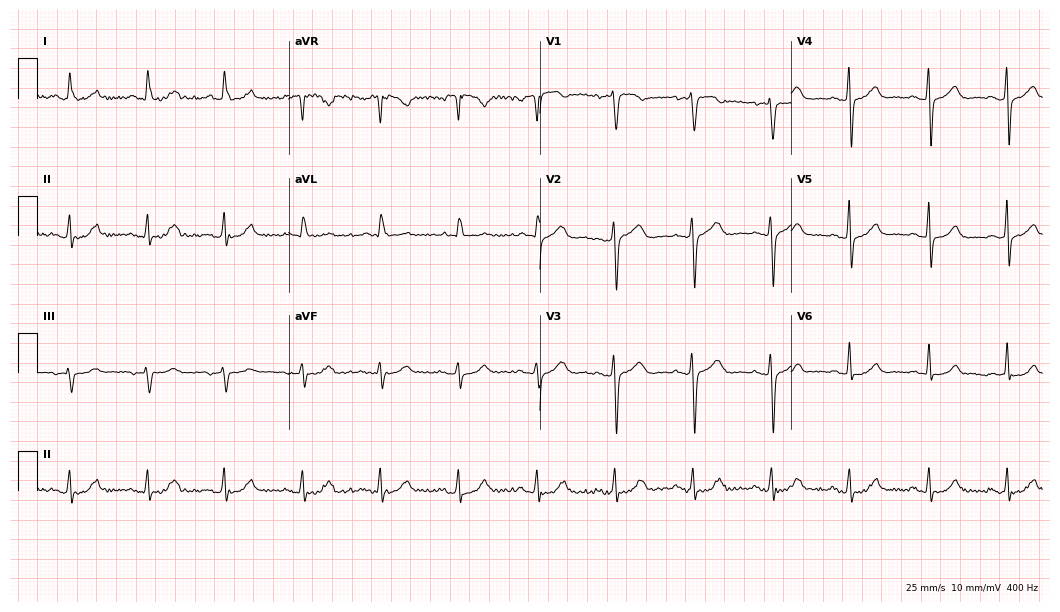
Resting 12-lead electrocardiogram (10.2-second recording at 400 Hz). Patient: a 73-year-old woman. Read as a normal ECG.